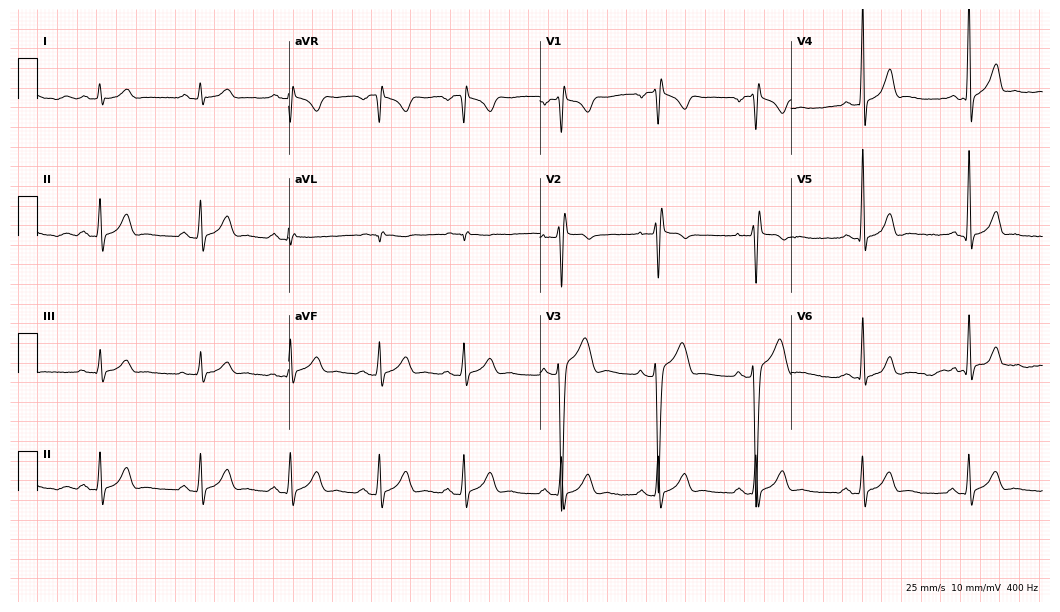
Standard 12-lead ECG recorded from a 23-year-old male patient. None of these six findings is recorded: first-degree AV block, right bundle branch block, left bundle branch block, sinus bradycardia, atrial fibrillation, sinus tachycardia.